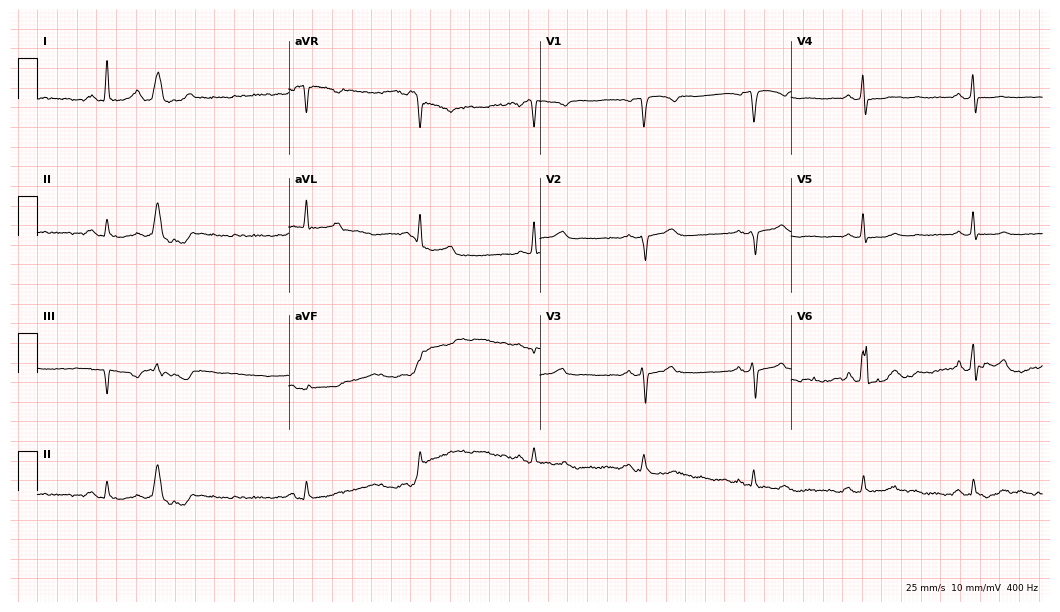
12-lead ECG (10.2-second recording at 400 Hz) from a 72-year-old male patient. Screened for six findings — first-degree AV block, right bundle branch block (RBBB), left bundle branch block (LBBB), sinus bradycardia, atrial fibrillation (AF), sinus tachycardia — none is recorded. Only these six findings were labelled.